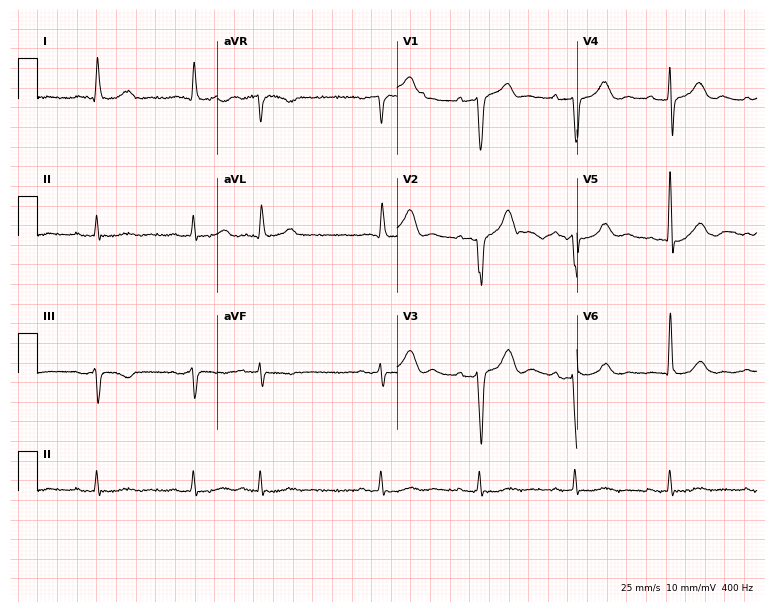
12-lead ECG from a male, 81 years old (7.3-second recording at 400 Hz). No first-degree AV block, right bundle branch block, left bundle branch block, sinus bradycardia, atrial fibrillation or sinus tachycardia recorded for this tracing.